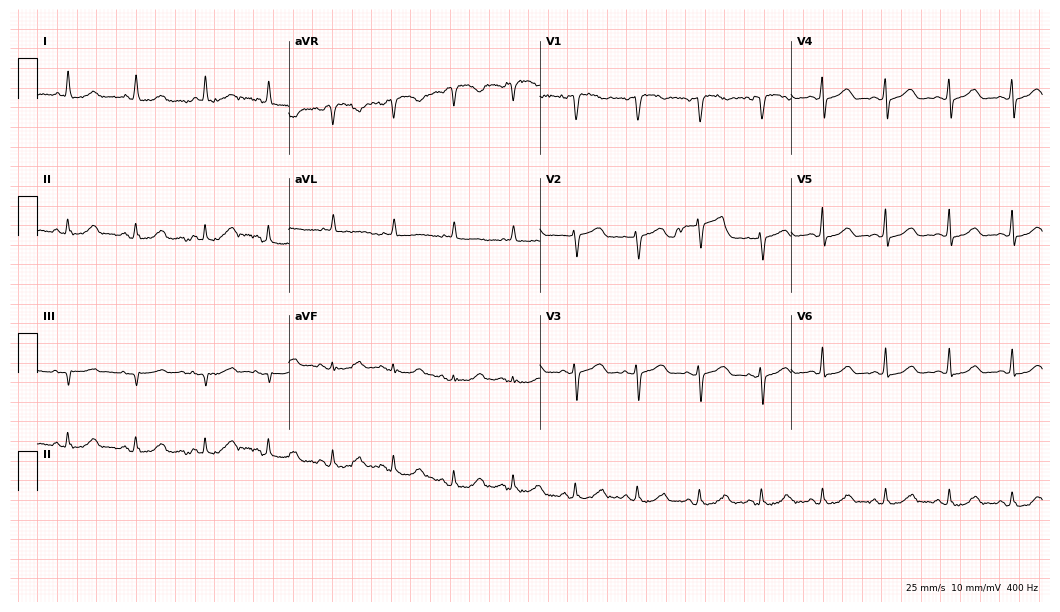
Standard 12-lead ECG recorded from a 62-year-old woman (10.2-second recording at 400 Hz). Read as a normal ECG.